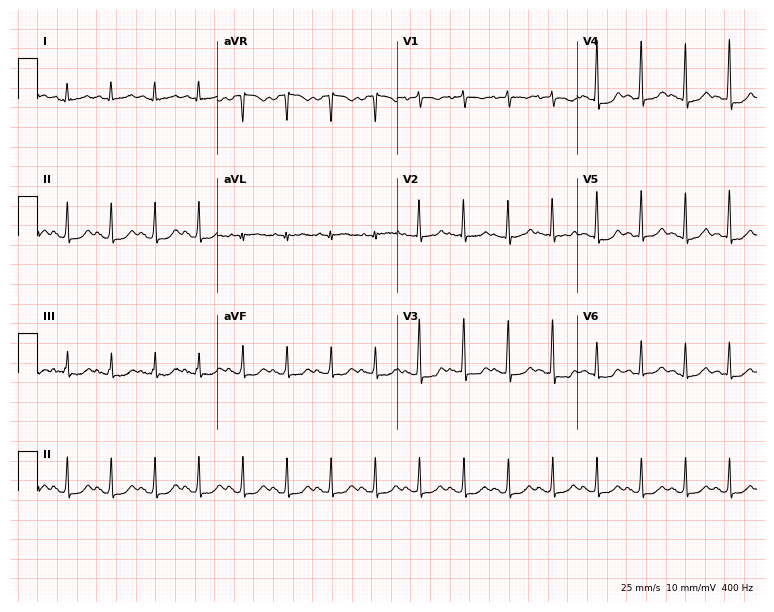
12-lead ECG from a 63-year-old woman. Findings include sinus tachycardia (a sinus rate of 100 beats per minute or more).